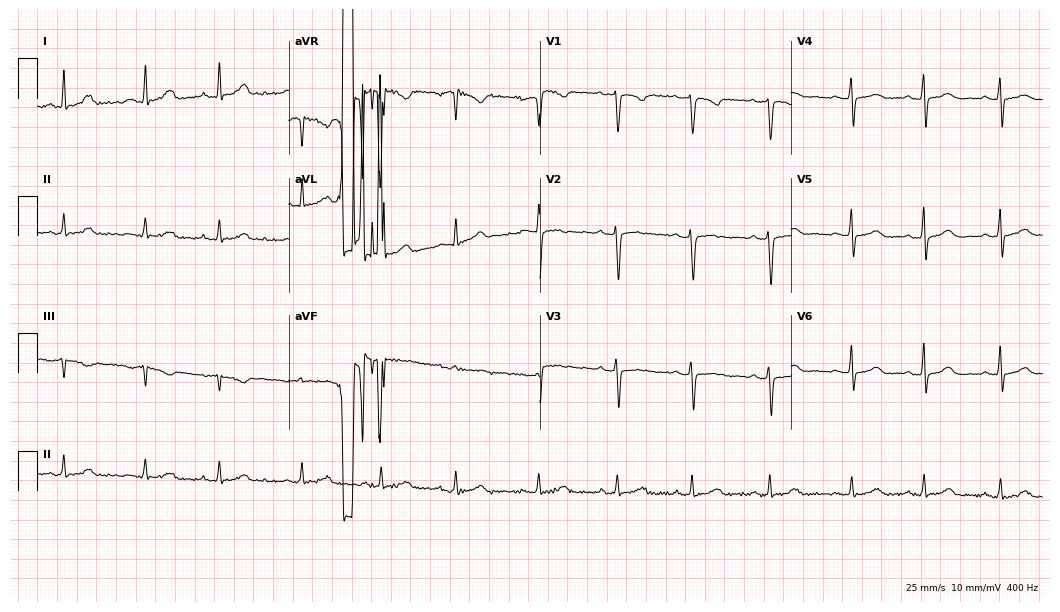
ECG — a woman, 36 years old. Labelled as a normal ECG.